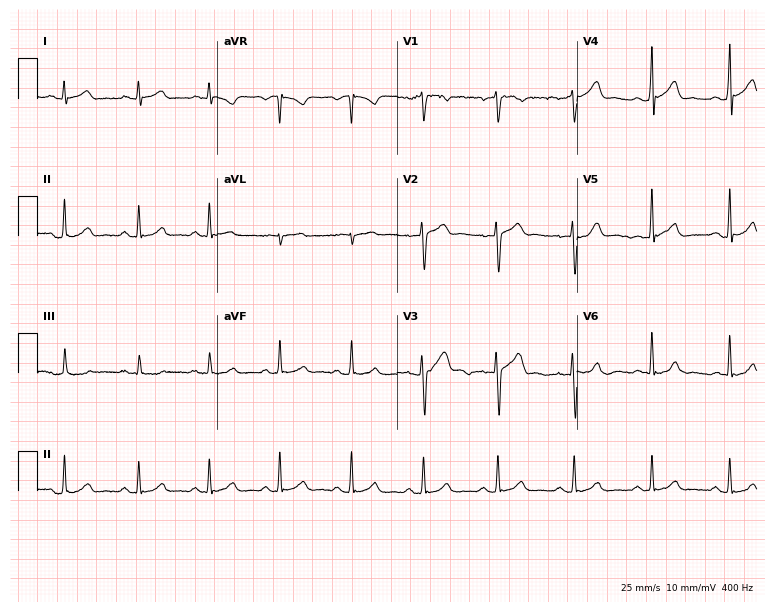
Resting 12-lead electrocardiogram. Patient: a man, 33 years old. None of these six findings is recorded: first-degree AV block, right bundle branch block (RBBB), left bundle branch block (LBBB), sinus bradycardia, atrial fibrillation (AF), sinus tachycardia. Findings outside these six are not listed.